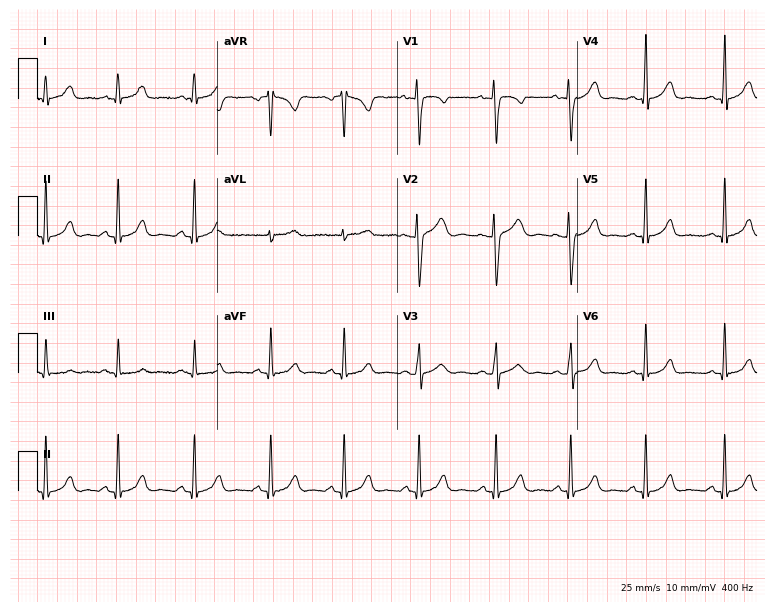
12-lead ECG from a 20-year-old female. Labelled as a normal ECG.